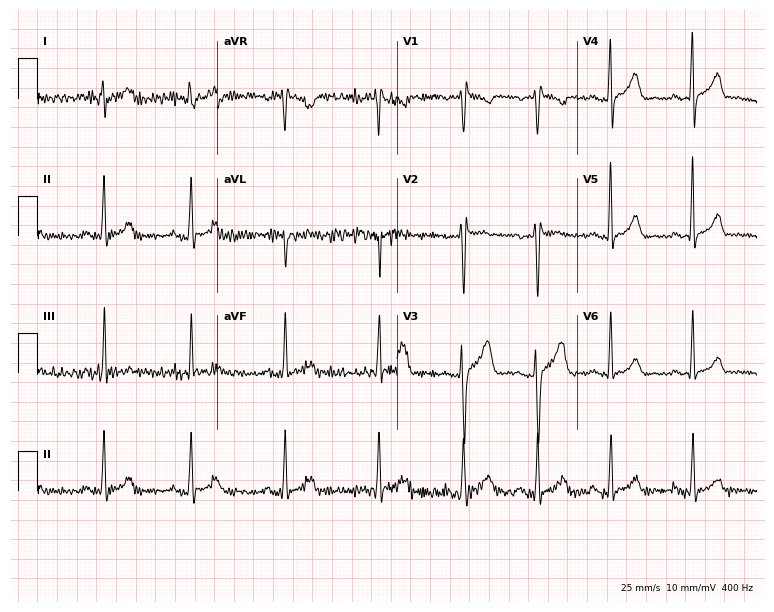
12-lead ECG from a male, 27 years old. Recorded interpretation: within normal limits.